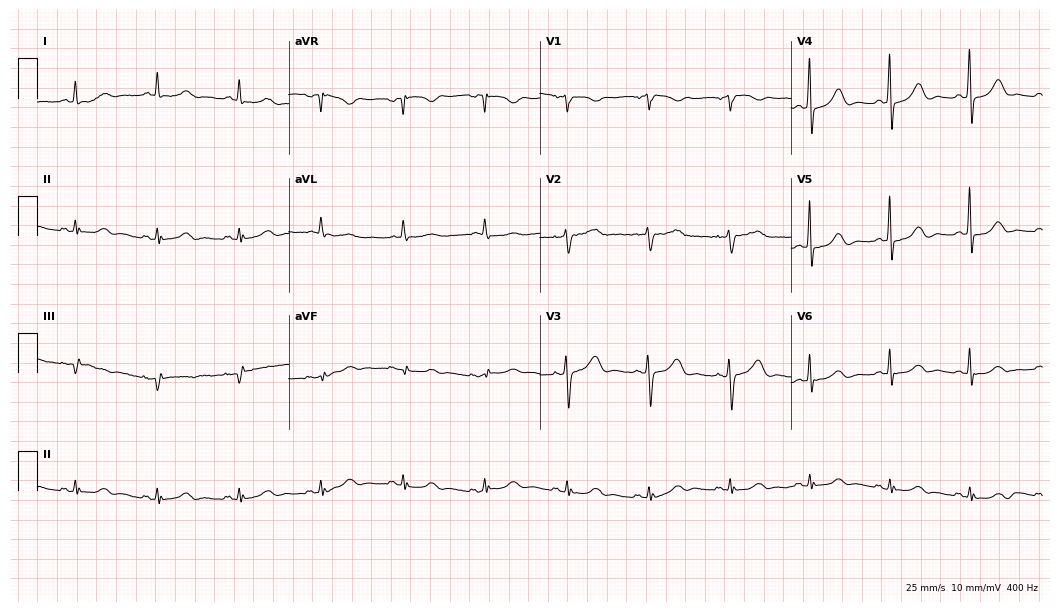
12-lead ECG (10.2-second recording at 400 Hz) from a 74-year-old woman. Labelled as a normal ECG.